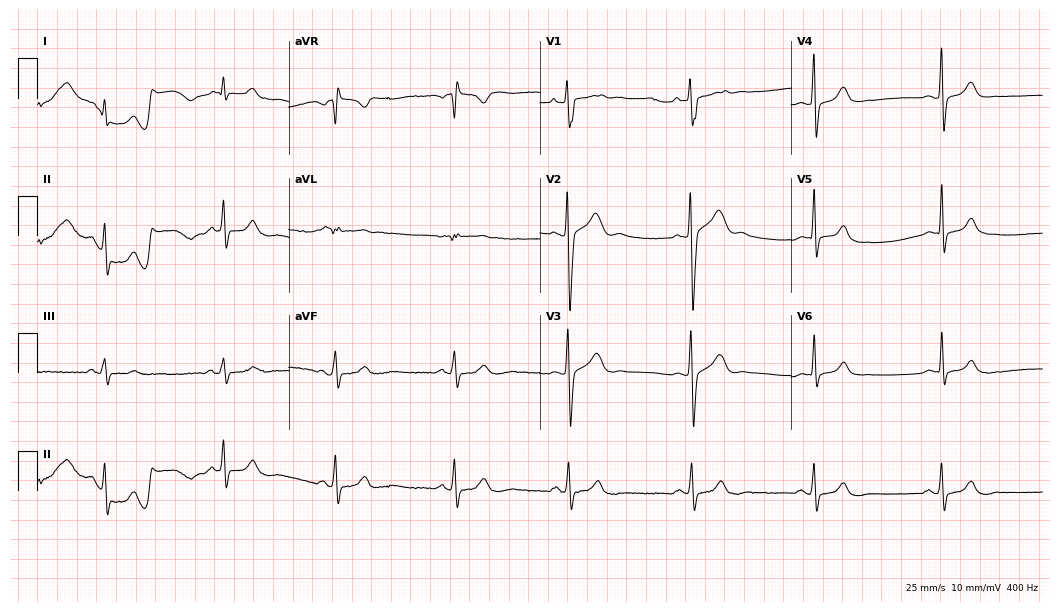
Resting 12-lead electrocardiogram. Patient: a 23-year-old male. None of these six findings is recorded: first-degree AV block, right bundle branch block, left bundle branch block, sinus bradycardia, atrial fibrillation, sinus tachycardia.